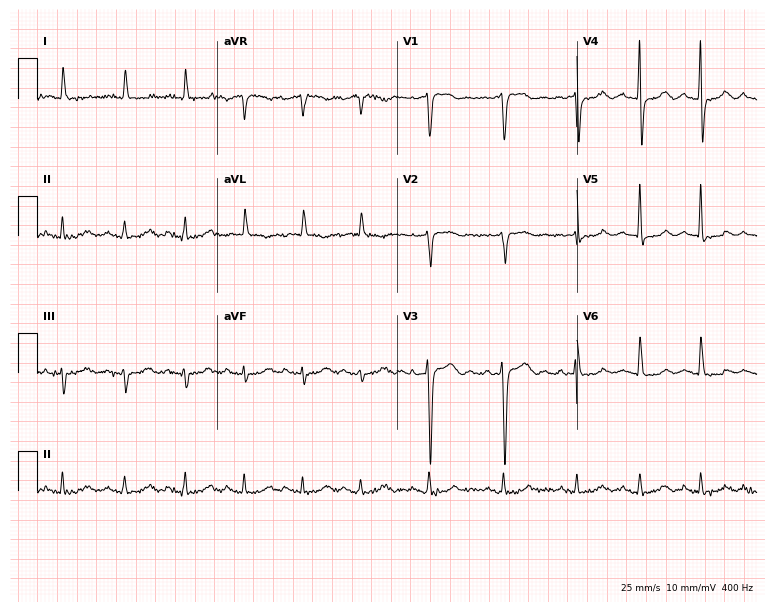
Standard 12-lead ECG recorded from an 83-year-old female (7.3-second recording at 400 Hz). None of these six findings is recorded: first-degree AV block, right bundle branch block, left bundle branch block, sinus bradycardia, atrial fibrillation, sinus tachycardia.